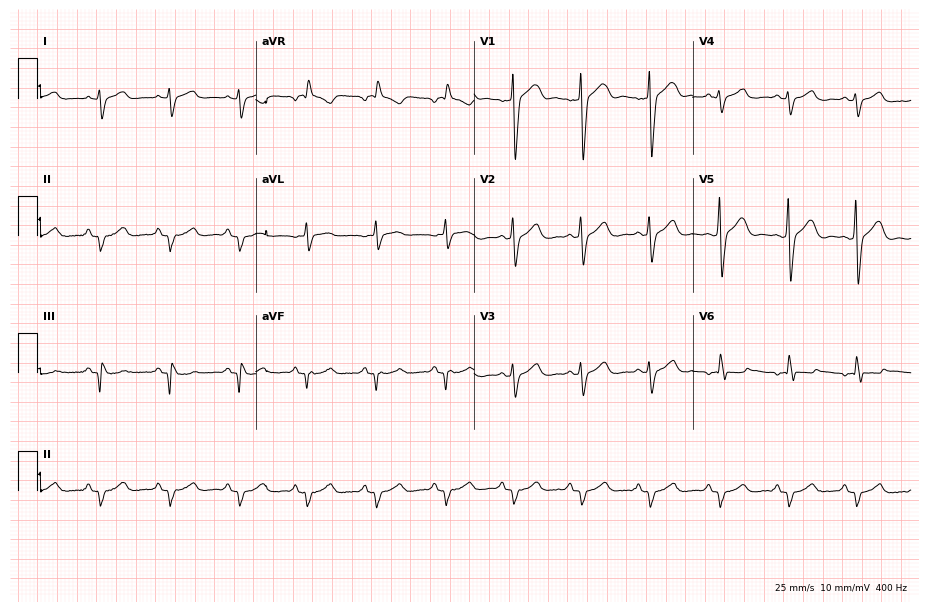
Resting 12-lead electrocardiogram. Patient: a 62-year-old male. None of these six findings is recorded: first-degree AV block, right bundle branch block (RBBB), left bundle branch block (LBBB), sinus bradycardia, atrial fibrillation (AF), sinus tachycardia.